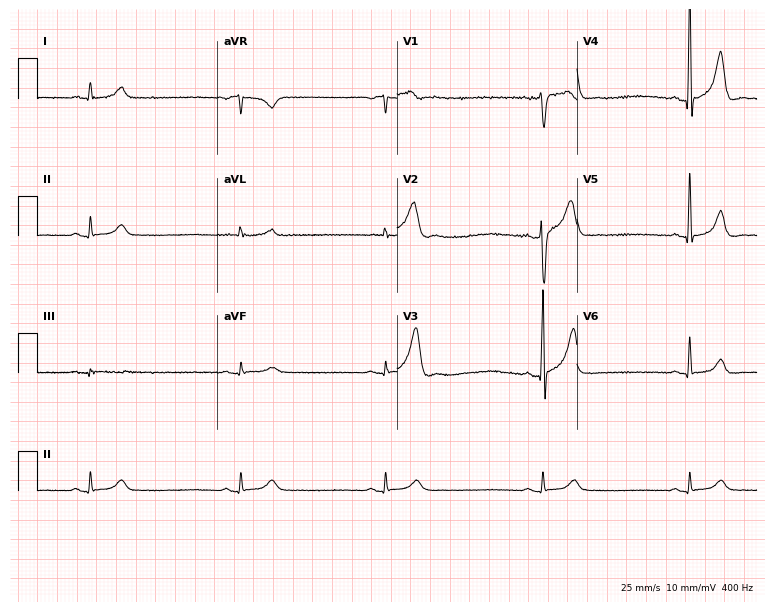
ECG — a 32-year-old male. Findings include sinus bradycardia (a sinus rate of 50 beats per minute or less).